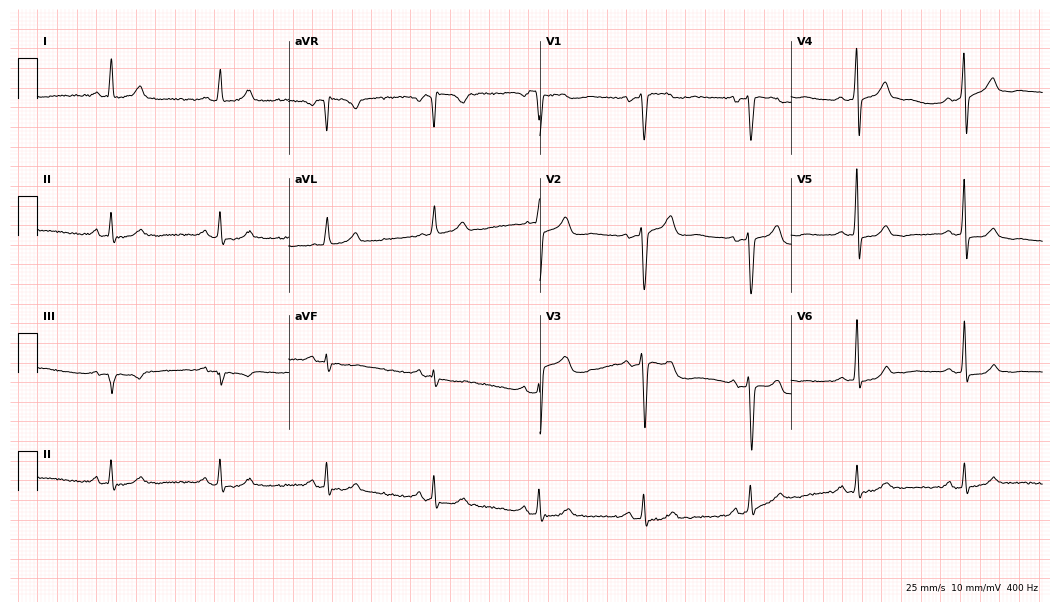
Standard 12-lead ECG recorded from a 65-year-old male (10.2-second recording at 400 Hz). None of these six findings is recorded: first-degree AV block, right bundle branch block (RBBB), left bundle branch block (LBBB), sinus bradycardia, atrial fibrillation (AF), sinus tachycardia.